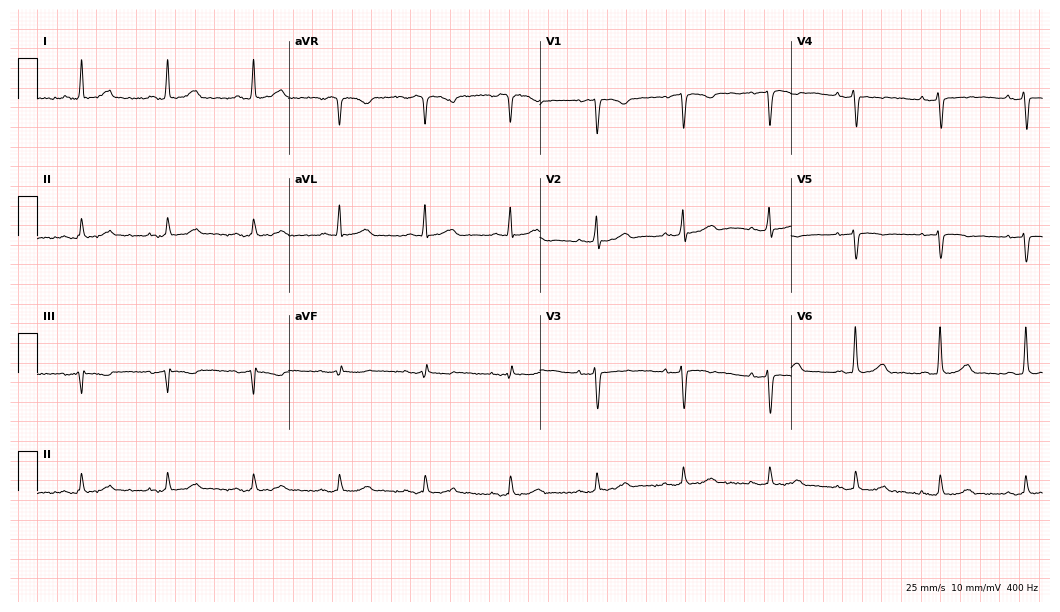
12-lead ECG from a female, 64 years old. Screened for six findings — first-degree AV block, right bundle branch block, left bundle branch block, sinus bradycardia, atrial fibrillation, sinus tachycardia — none is recorded. Other findings, if any, are not listed.